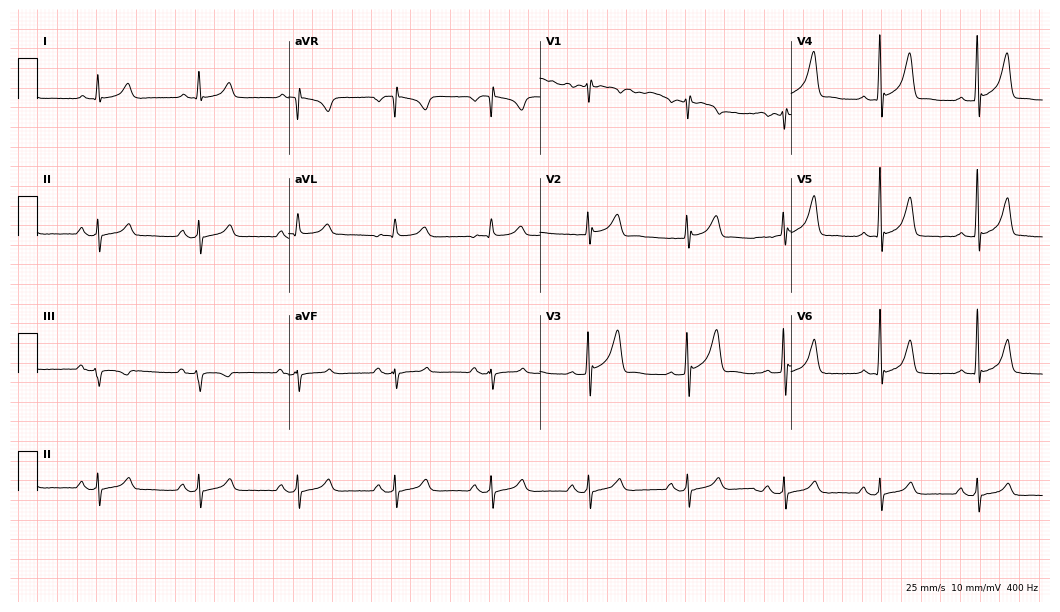
Resting 12-lead electrocardiogram. Patient: a male, 58 years old. None of these six findings is recorded: first-degree AV block, right bundle branch block, left bundle branch block, sinus bradycardia, atrial fibrillation, sinus tachycardia.